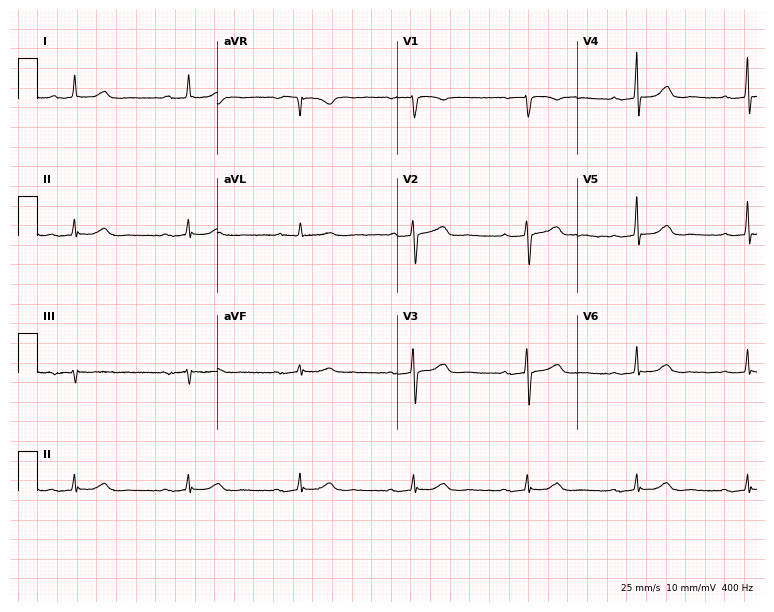
12-lead ECG from a female, 73 years old. Findings include first-degree AV block.